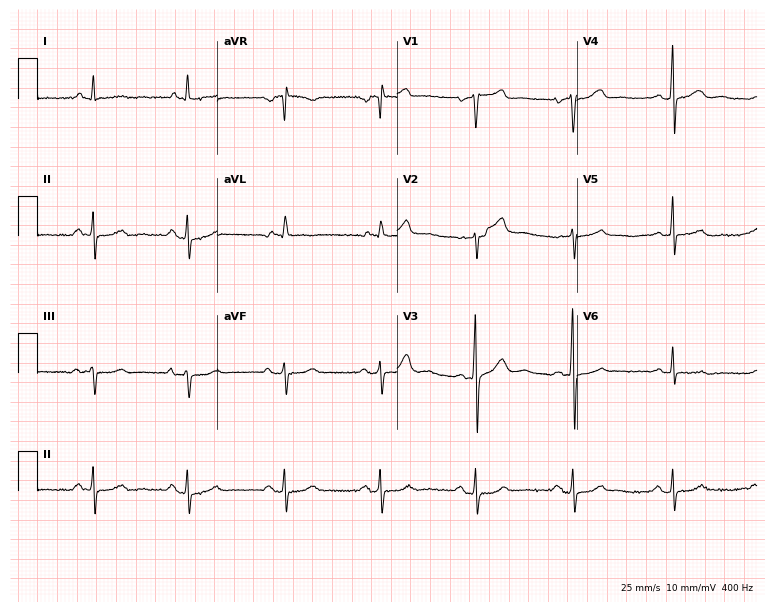
Electrocardiogram, a 54-year-old woman. Of the six screened findings (first-degree AV block, right bundle branch block (RBBB), left bundle branch block (LBBB), sinus bradycardia, atrial fibrillation (AF), sinus tachycardia), none is recorded.